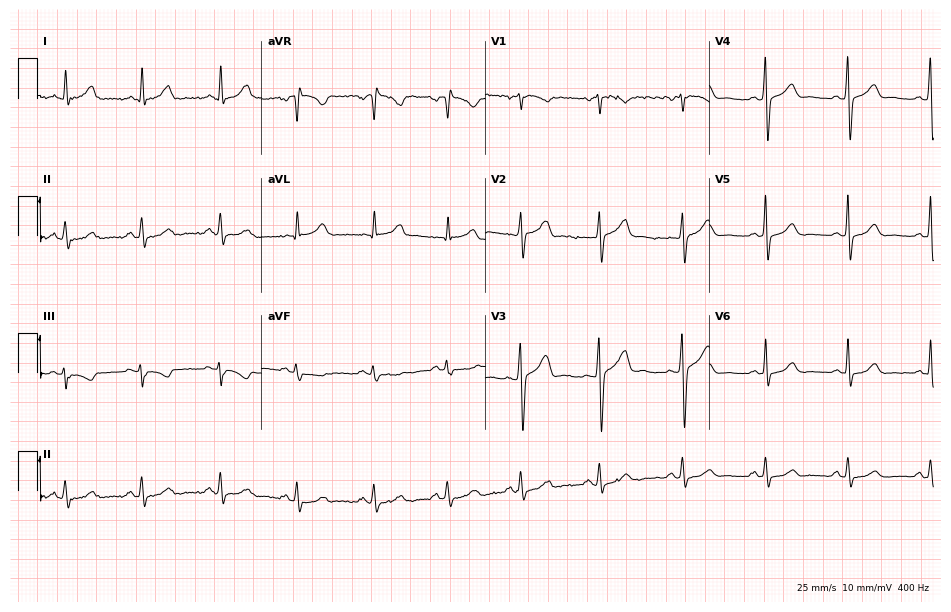
12-lead ECG from a female, 43 years old (9.1-second recording at 400 Hz). No first-degree AV block, right bundle branch block (RBBB), left bundle branch block (LBBB), sinus bradycardia, atrial fibrillation (AF) or sinus tachycardia recorded for this tracing.